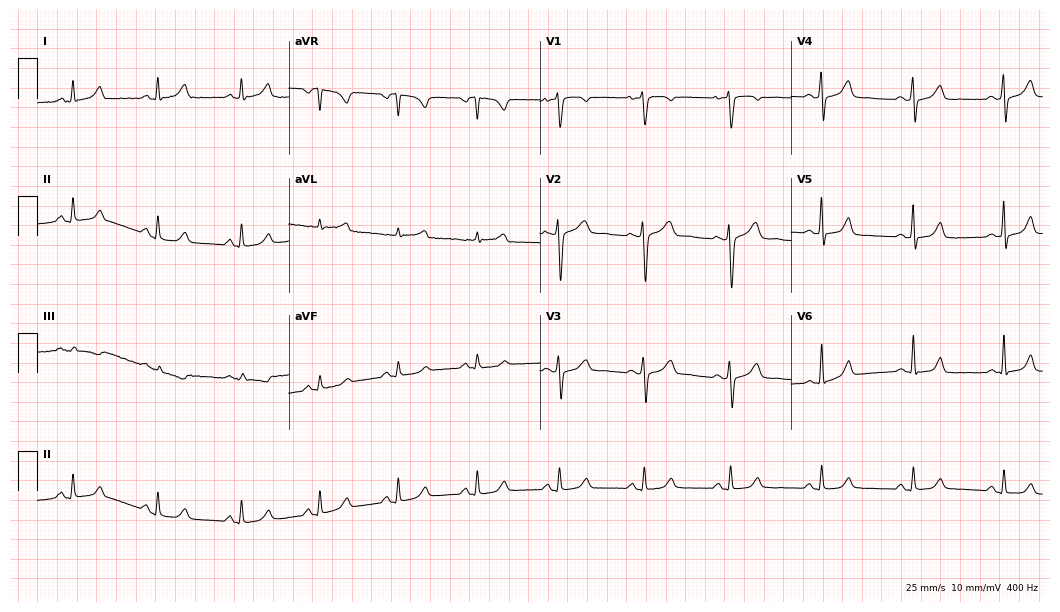
12-lead ECG from a 34-year-old woman. Labelled as a normal ECG.